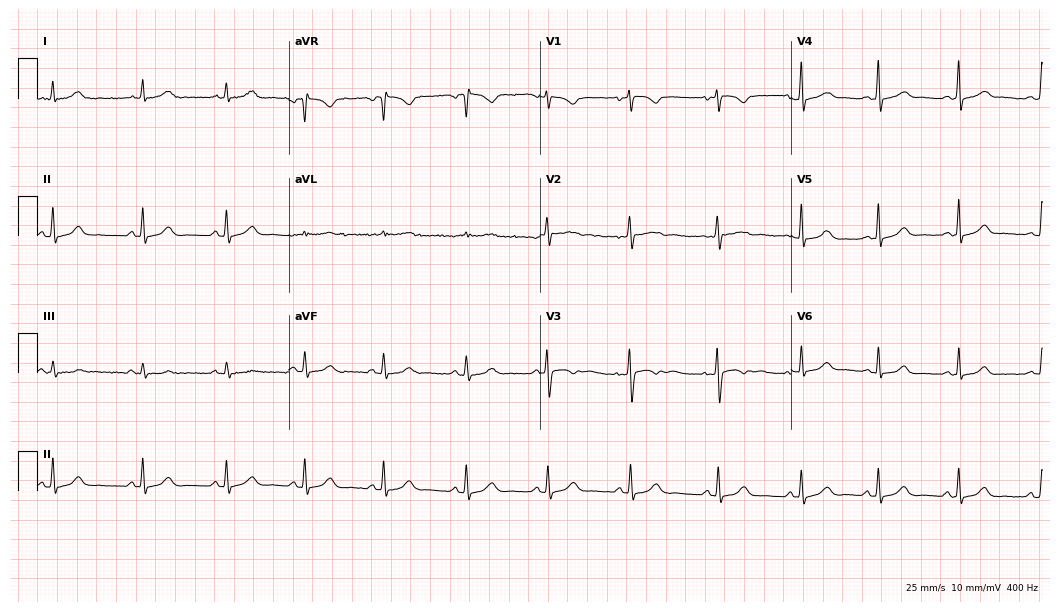
Electrocardiogram (10.2-second recording at 400 Hz), a 21-year-old woman. Overall reading on record: normal ECG.